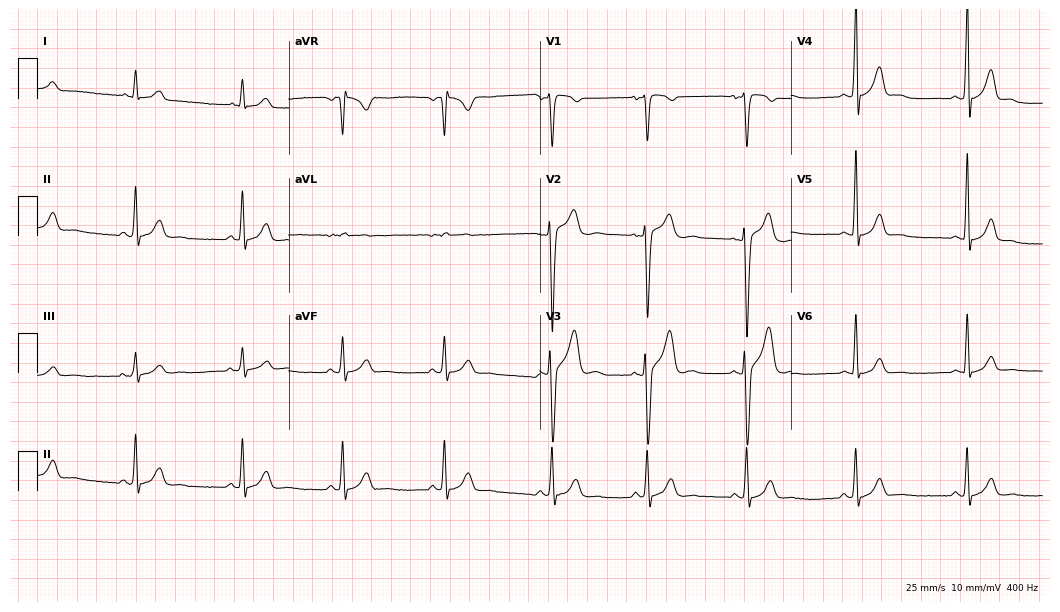
Standard 12-lead ECG recorded from a 20-year-old male patient (10.2-second recording at 400 Hz). None of these six findings is recorded: first-degree AV block, right bundle branch block, left bundle branch block, sinus bradycardia, atrial fibrillation, sinus tachycardia.